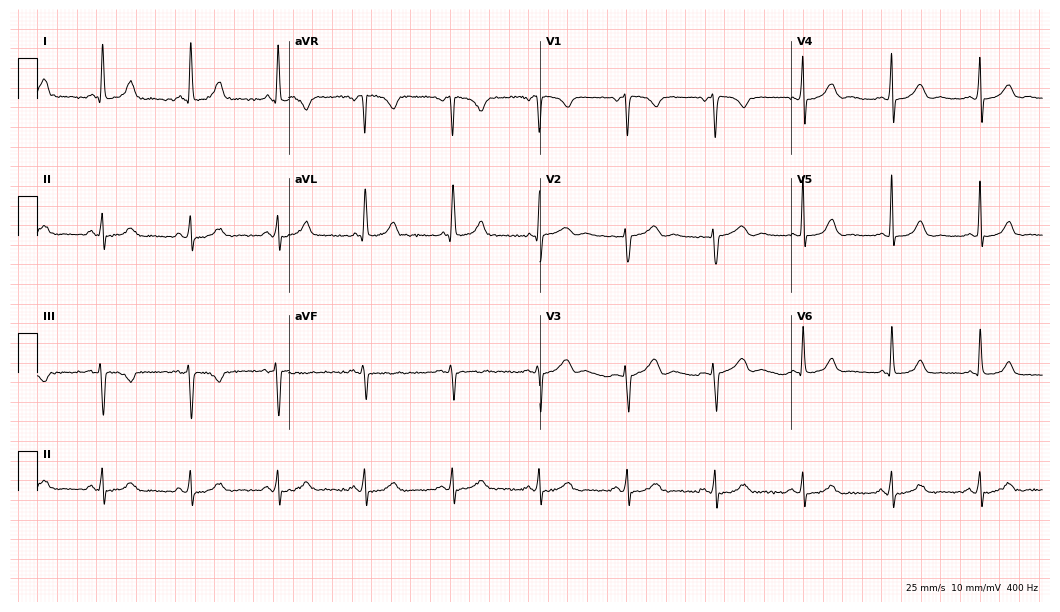
Electrocardiogram, a female patient, 44 years old. Overall reading on record: normal ECG.